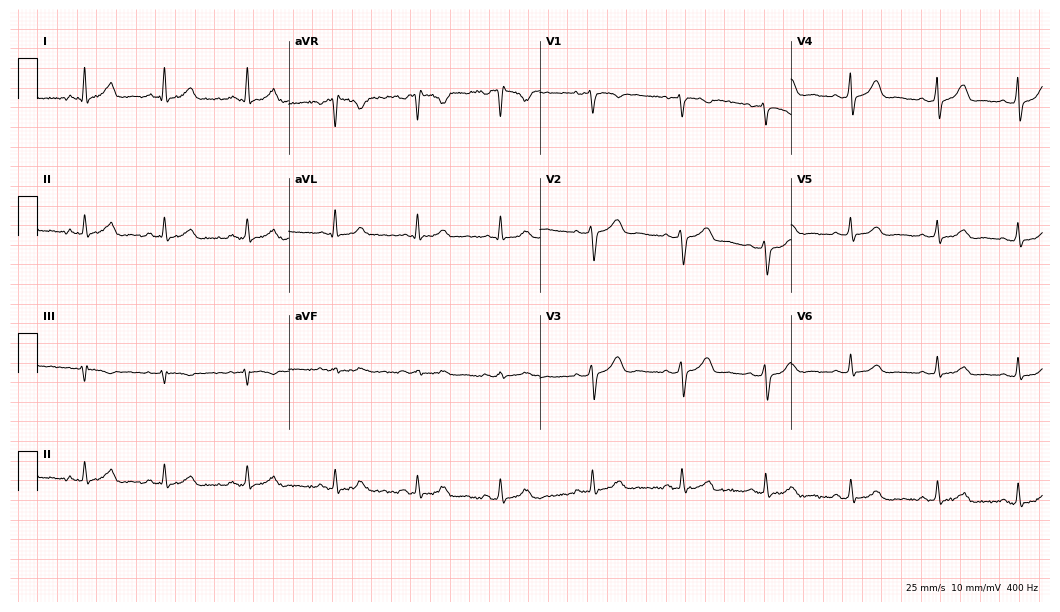
12-lead ECG (10.2-second recording at 400 Hz) from a female patient, 41 years old. Labelled as a normal ECG.